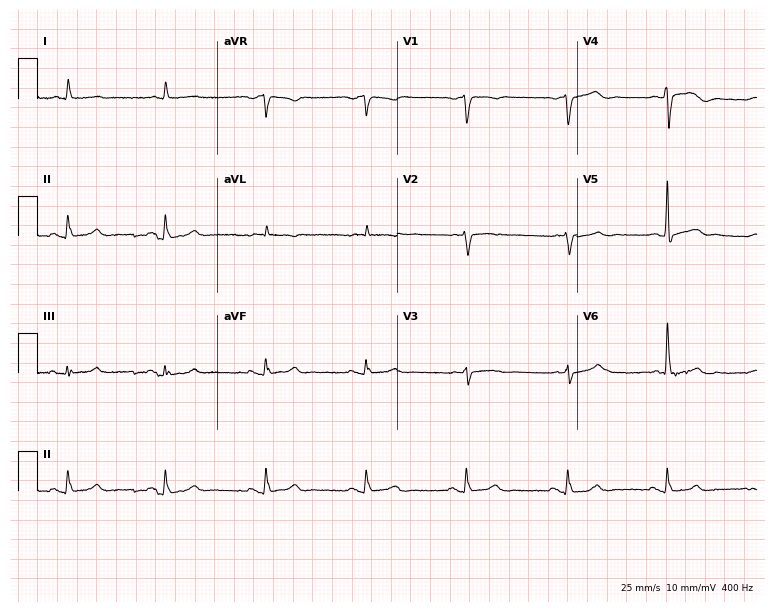
Resting 12-lead electrocardiogram. Patient: a male, 58 years old. None of these six findings is recorded: first-degree AV block, right bundle branch block, left bundle branch block, sinus bradycardia, atrial fibrillation, sinus tachycardia. Other findings, if any, are not listed.